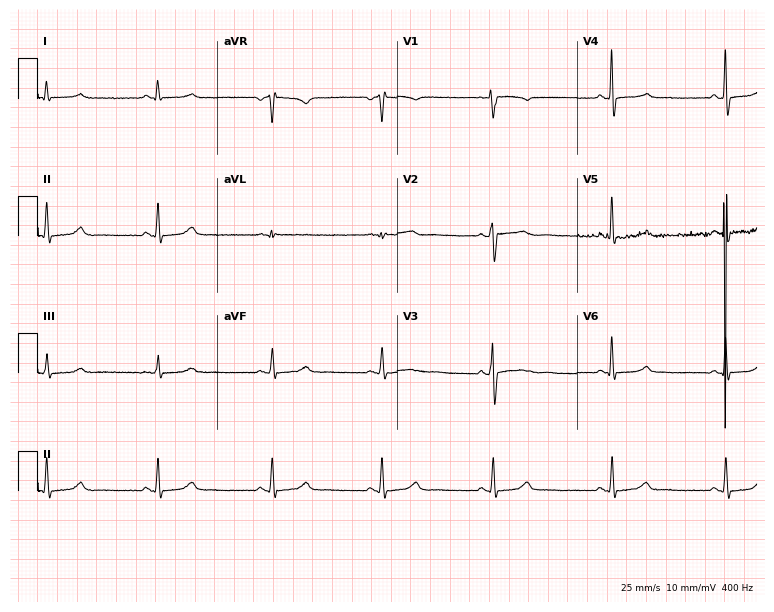
Electrocardiogram (7.3-second recording at 400 Hz), a 56-year-old female. Overall reading on record: normal ECG.